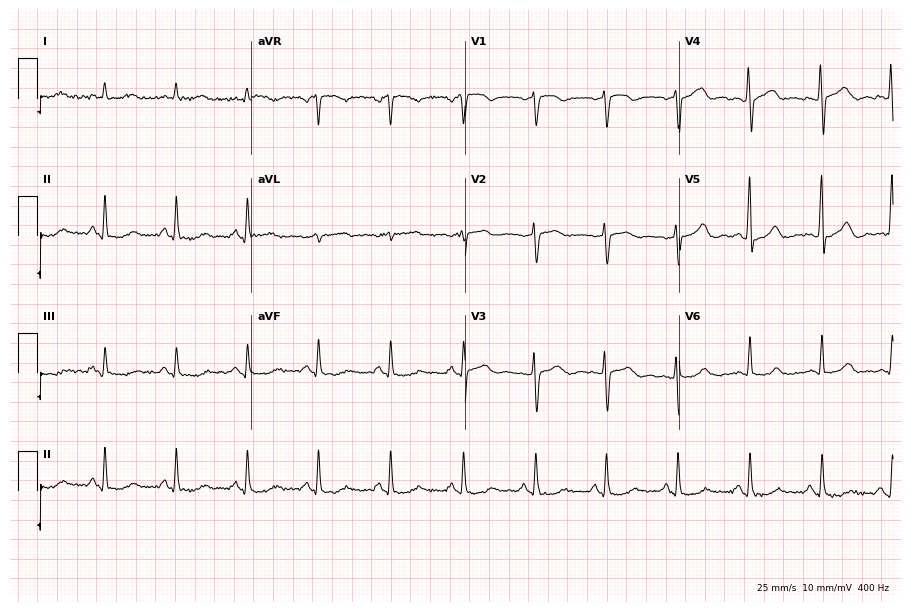
Standard 12-lead ECG recorded from a man, 80 years old (8.7-second recording at 400 Hz). Read as a normal ECG.